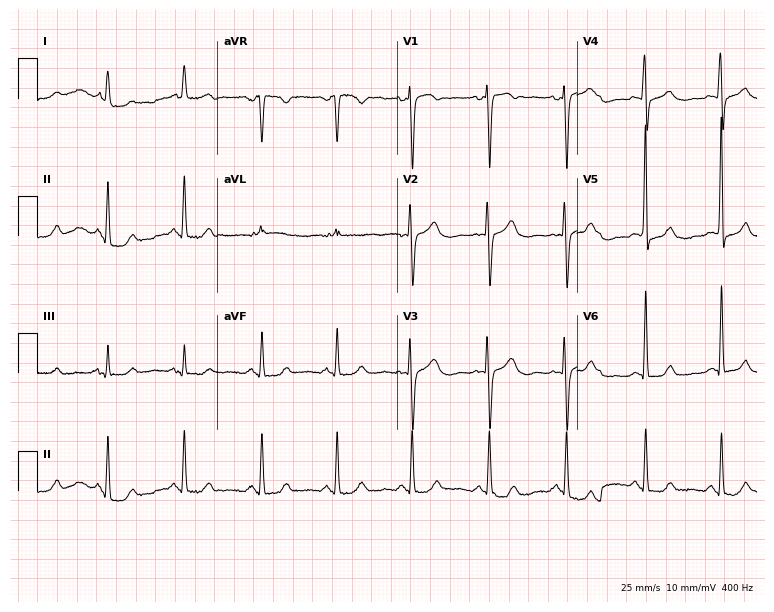
ECG — a female, 53 years old. Screened for six findings — first-degree AV block, right bundle branch block, left bundle branch block, sinus bradycardia, atrial fibrillation, sinus tachycardia — none is recorded.